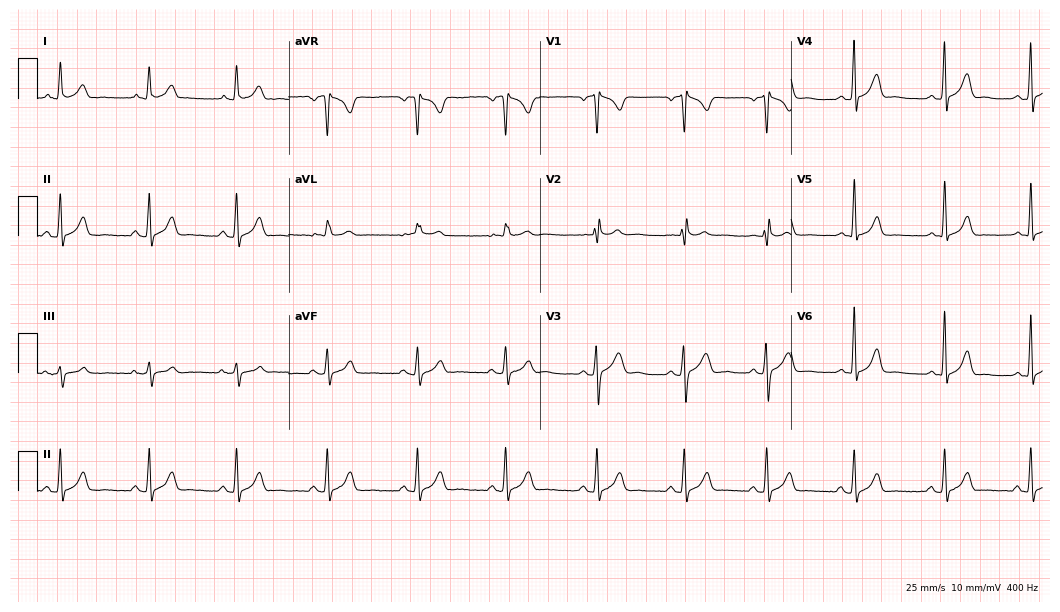
Standard 12-lead ECG recorded from a 23-year-old male patient (10.2-second recording at 400 Hz). Read as a normal ECG.